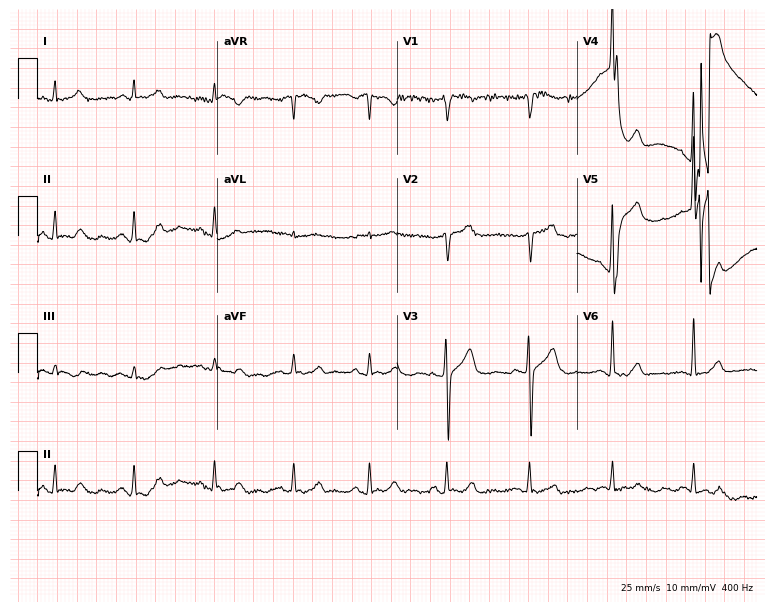
Standard 12-lead ECG recorded from a 59-year-old male (7.3-second recording at 400 Hz). Read as a normal ECG.